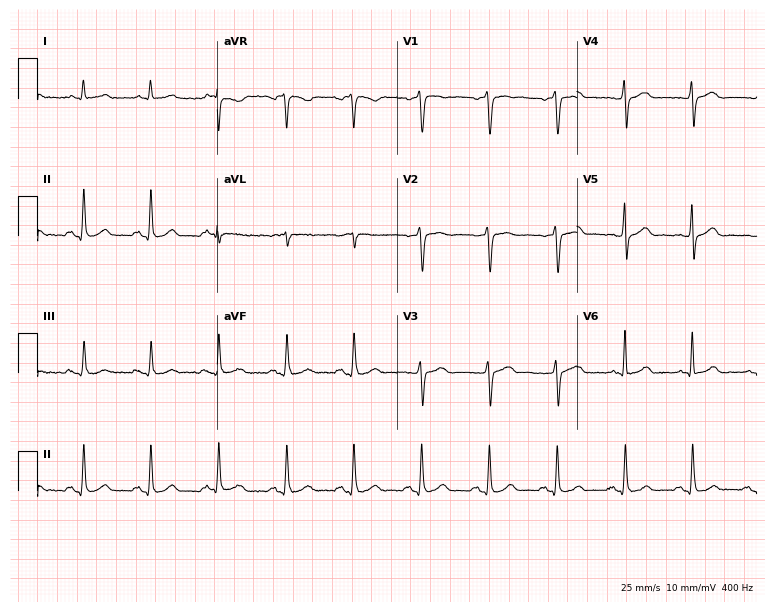
Electrocardiogram (7.3-second recording at 400 Hz), a 66-year-old male patient. Of the six screened findings (first-degree AV block, right bundle branch block, left bundle branch block, sinus bradycardia, atrial fibrillation, sinus tachycardia), none is recorded. Only these six findings were labelled.